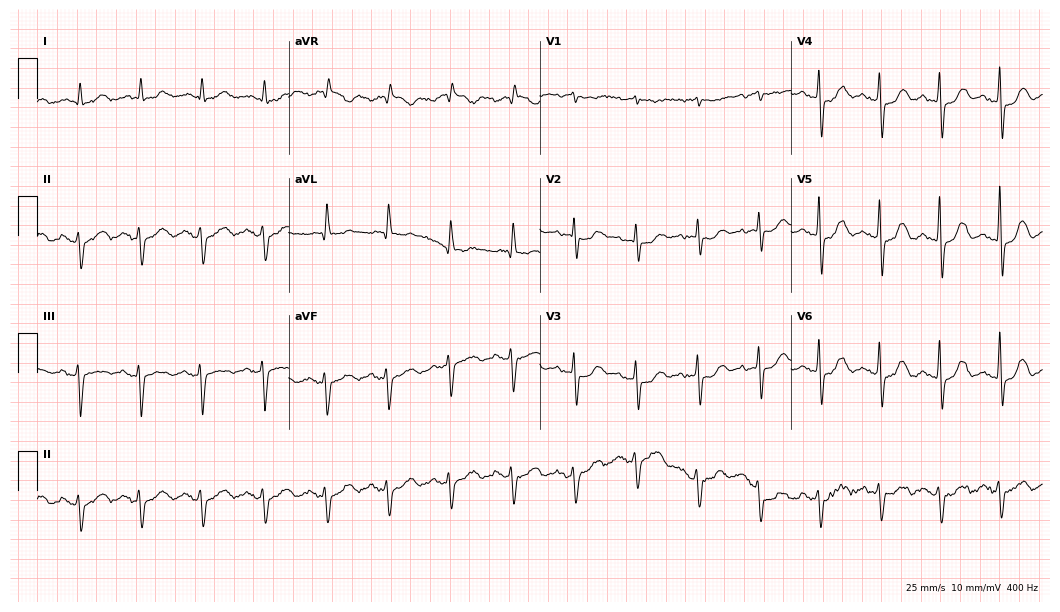
ECG — an 84-year-old female patient. Screened for six findings — first-degree AV block, right bundle branch block, left bundle branch block, sinus bradycardia, atrial fibrillation, sinus tachycardia — none is recorded. Other findings, if any, are not listed.